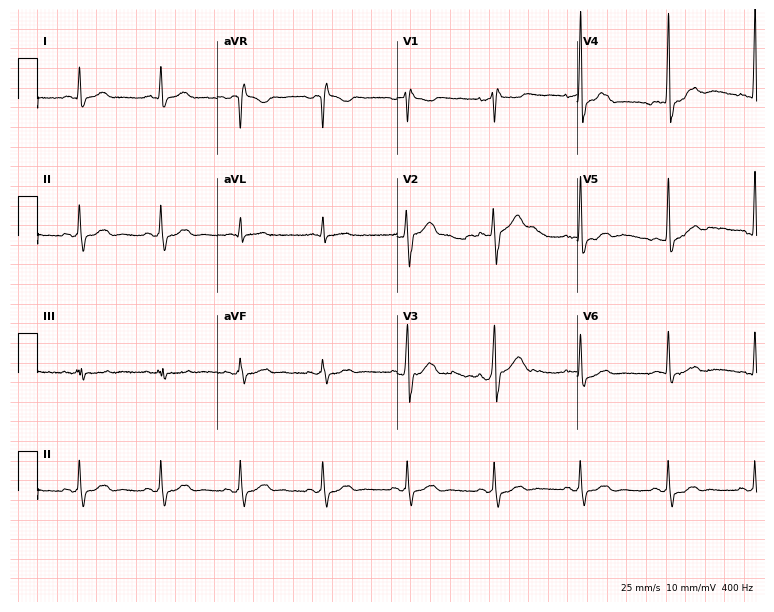
Resting 12-lead electrocardiogram. Patient: a 48-year-old female. None of these six findings is recorded: first-degree AV block, right bundle branch block (RBBB), left bundle branch block (LBBB), sinus bradycardia, atrial fibrillation (AF), sinus tachycardia.